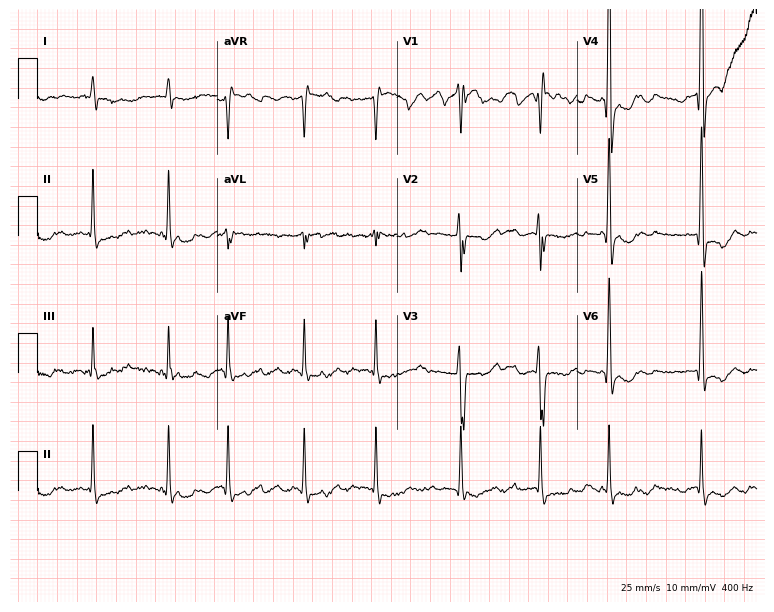
Resting 12-lead electrocardiogram. Patient: a female, 80 years old. The tracing shows atrial fibrillation (AF).